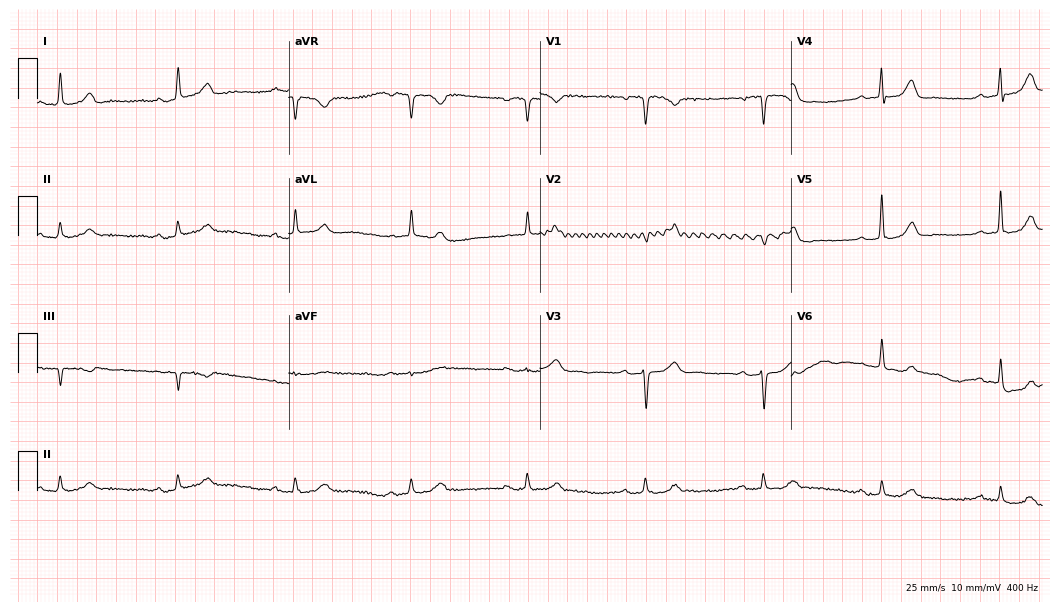
Electrocardiogram, a man, 82 years old. Overall reading on record: normal ECG.